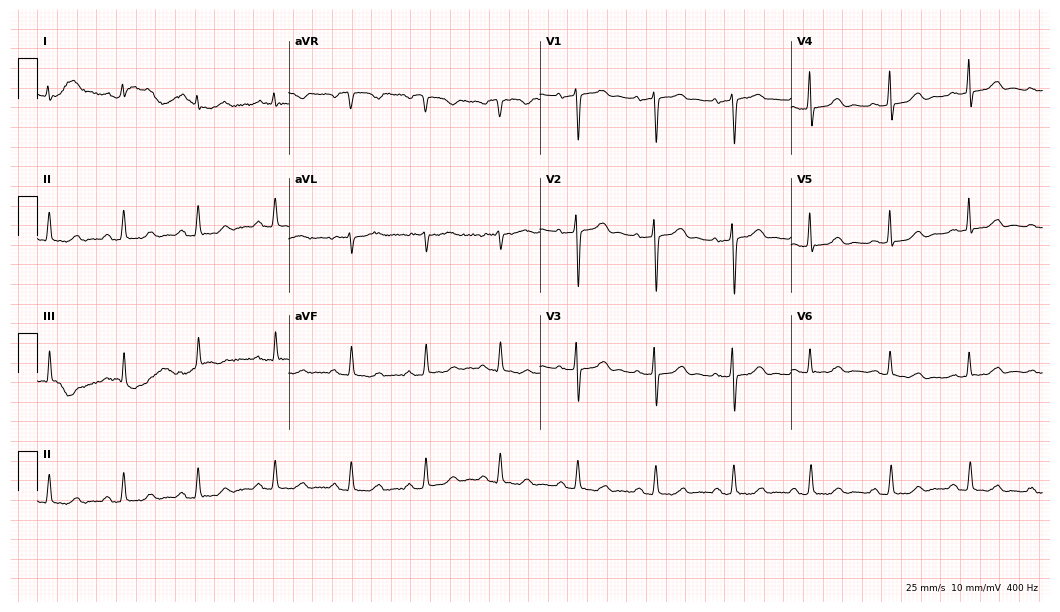
Resting 12-lead electrocardiogram. Patient: a female, 59 years old. None of these six findings is recorded: first-degree AV block, right bundle branch block, left bundle branch block, sinus bradycardia, atrial fibrillation, sinus tachycardia.